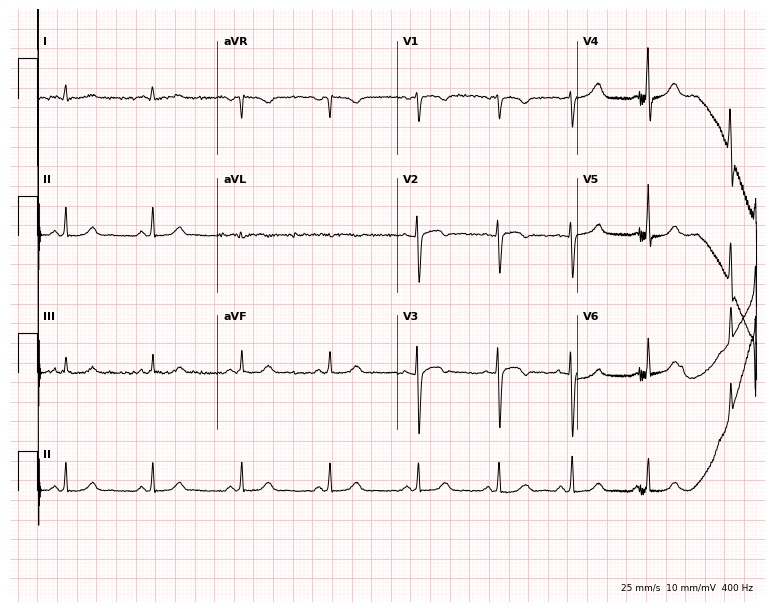
Standard 12-lead ECG recorded from a woman, 34 years old. None of these six findings is recorded: first-degree AV block, right bundle branch block (RBBB), left bundle branch block (LBBB), sinus bradycardia, atrial fibrillation (AF), sinus tachycardia. Findings outside these six are not listed.